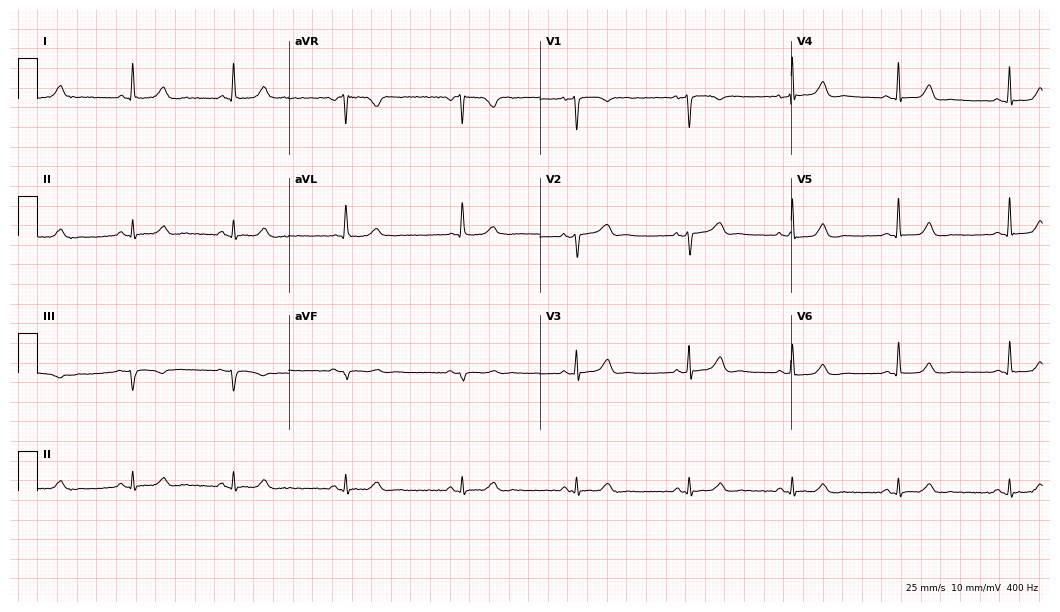
Electrocardiogram, a female, 49 years old. Of the six screened findings (first-degree AV block, right bundle branch block (RBBB), left bundle branch block (LBBB), sinus bradycardia, atrial fibrillation (AF), sinus tachycardia), none is recorded.